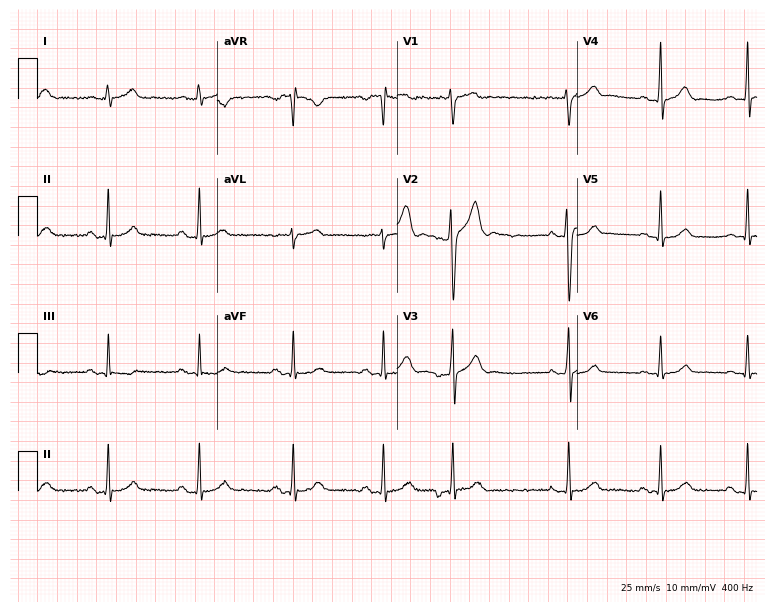
Resting 12-lead electrocardiogram (7.3-second recording at 400 Hz). Patient: a male, 29 years old. Read as a normal ECG.